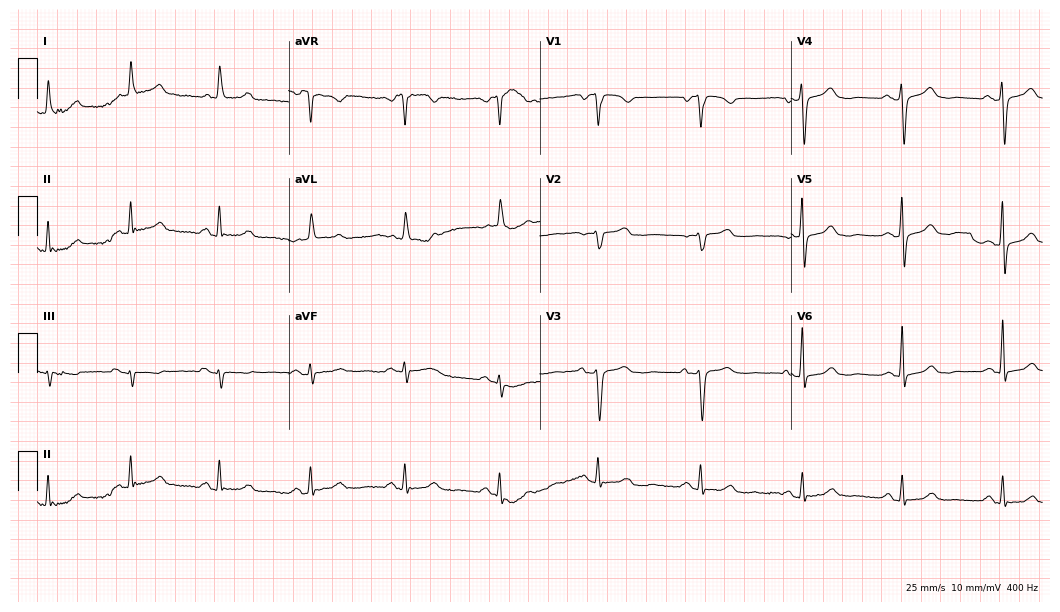
12-lead ECG from a 73-year-old female patient. Labelled as a normal ECG.